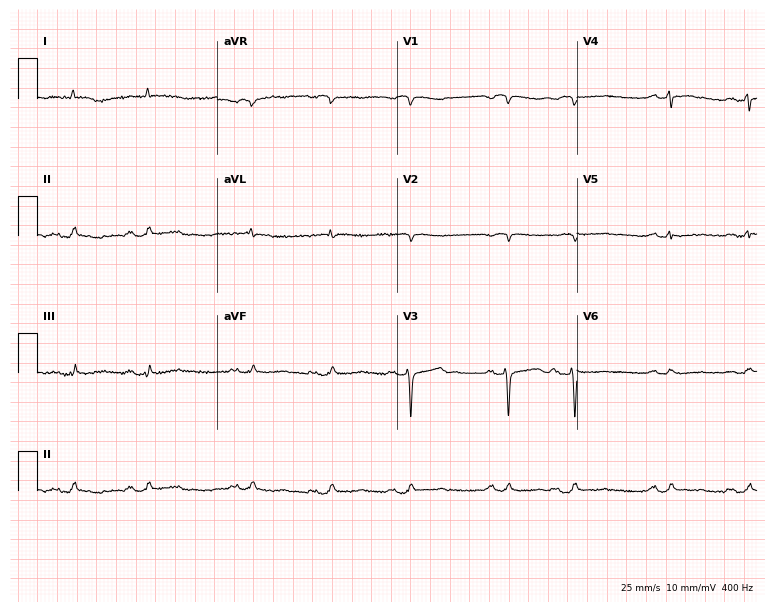
Resting 12-lead electrocardiogram (7.3-second recording at 400 Hz). Patient: a 69-year-old male. Read as a normal ECG.